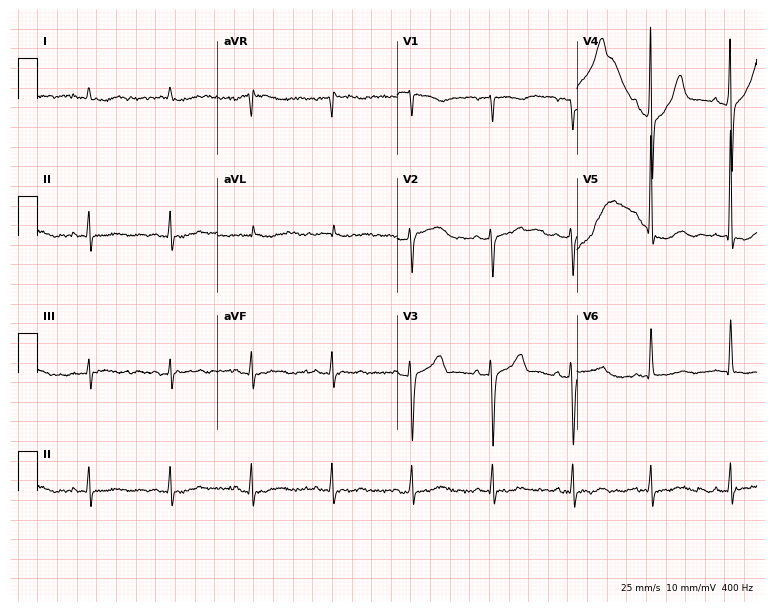
Standard 12-lead ECG recorded from an 85-year-old male patient. None of these six findings is recorded: first-degree AV block, right bundle branch block (RBBB), left bundle branch block (LBBB), sinus bradycardia, atrial fibrillation (AF), sinus tachycardia. Other findings, if any, are not listed.